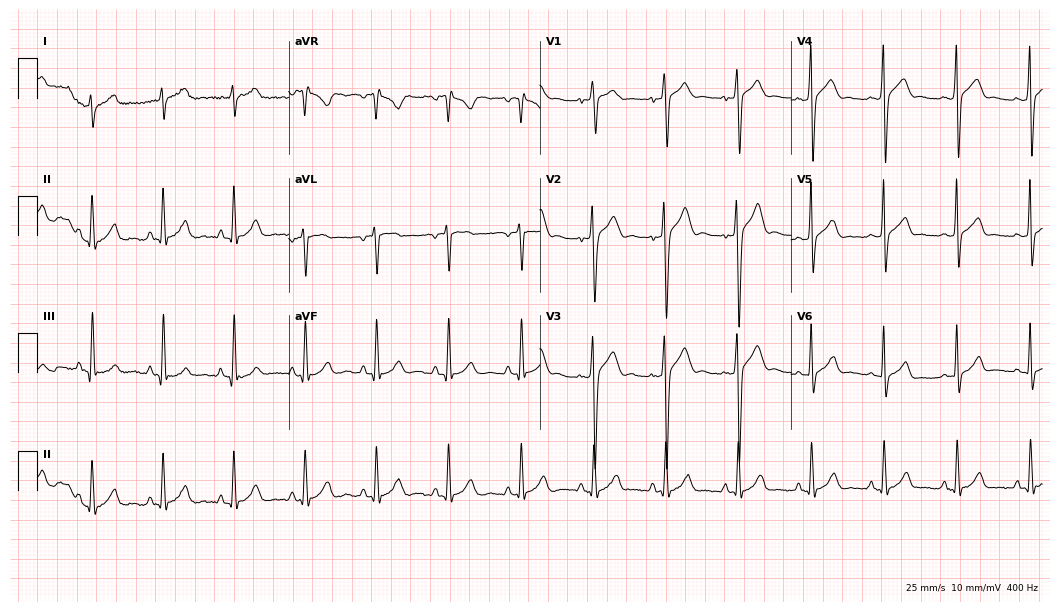
Electrocardiogram, a male, 20 years old. Overall reading on record: normal ECG.